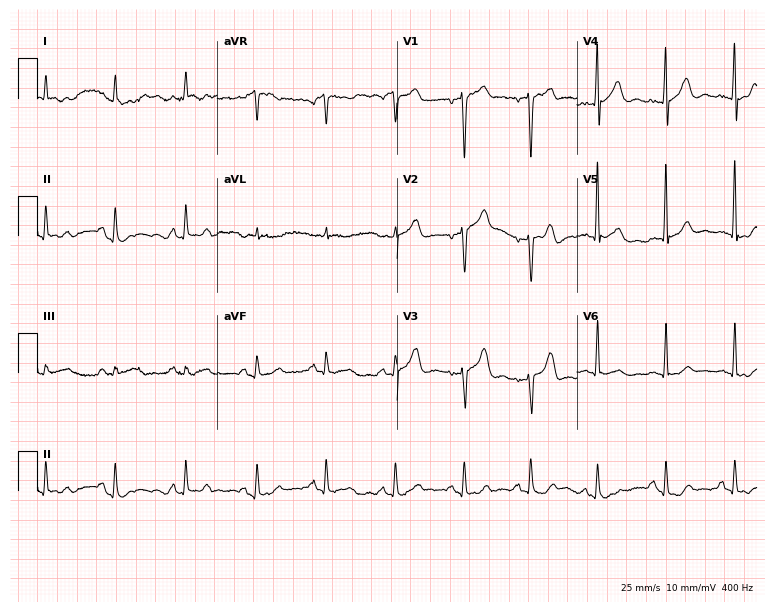
Resting 12-lead electrocardiogram (7.3-second recording at 400 Hz). Patient: a 66-year-old male. None of these six findings is recorded: first-degree AV block, right bundle branch block, left bundle branch block, sinus bradycardia, atrial fibrillation, sinus tachycardia. Other findings, if any, are not listed.